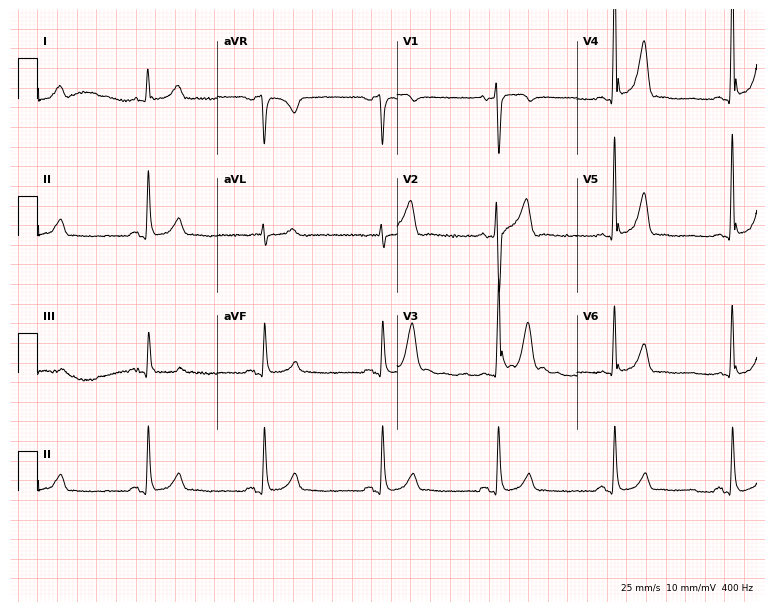
12-lead ECG from a 54-year-old male. Labelled as a normal ECG.